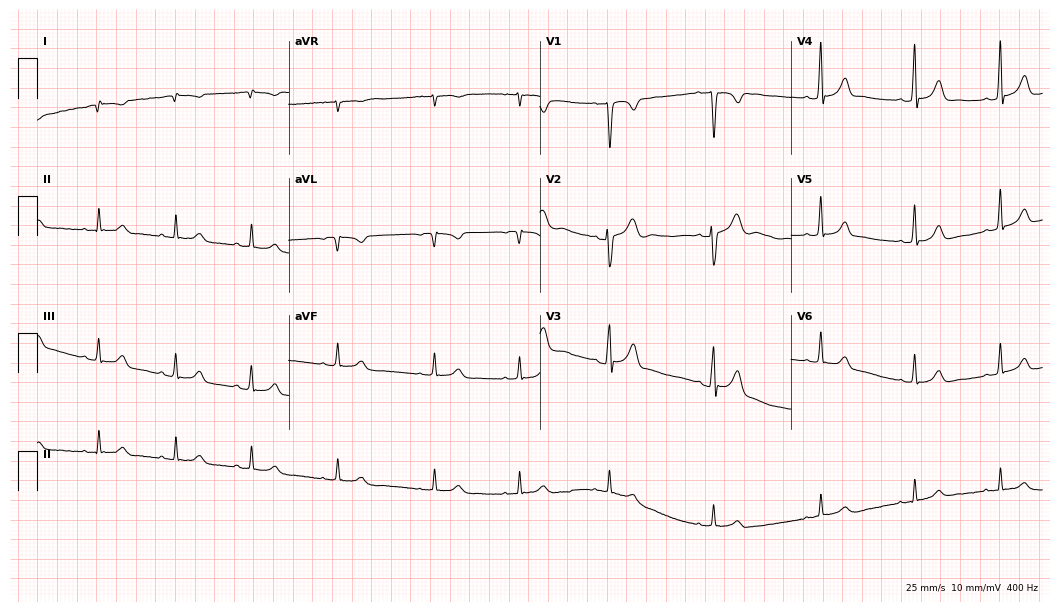
ECG (10.2-second recording at 400 Hz) — a female patient, 24 years old. Screened for six findings — first-degree AV block, right bundle branch block (RBBB), left bundle branch block (LBBB), sinus bradycardia, atrial fibrillation (AF), sinus tachycardia — none is recorded. Findings outside these six are not listed.